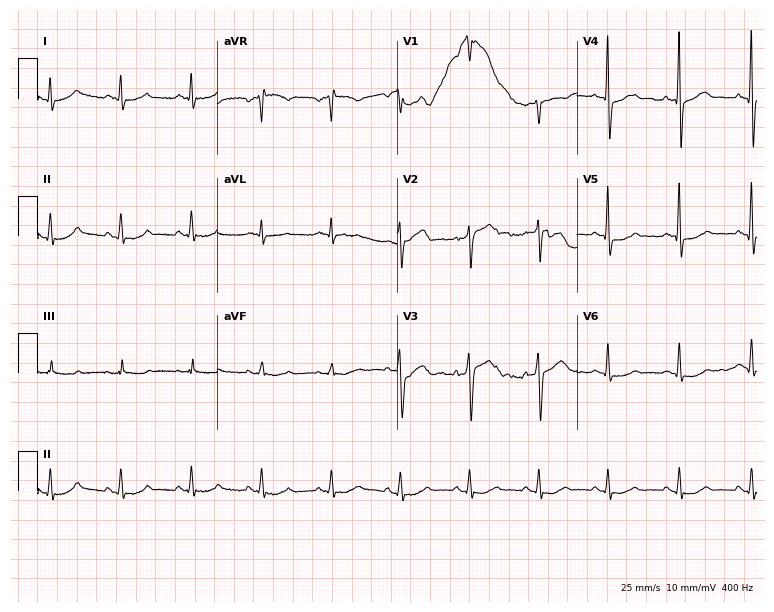
12-lead ECG (7.3-second recording at 400 Hz) from a 66-year-old male patient. Screened for six findings — first-degree AV block, right bundle branch block, left bundle branch block, sinus bradycardia, atrial fibrillation, sinus tachycardia — none is recorded. Findings outside these six are not listed.